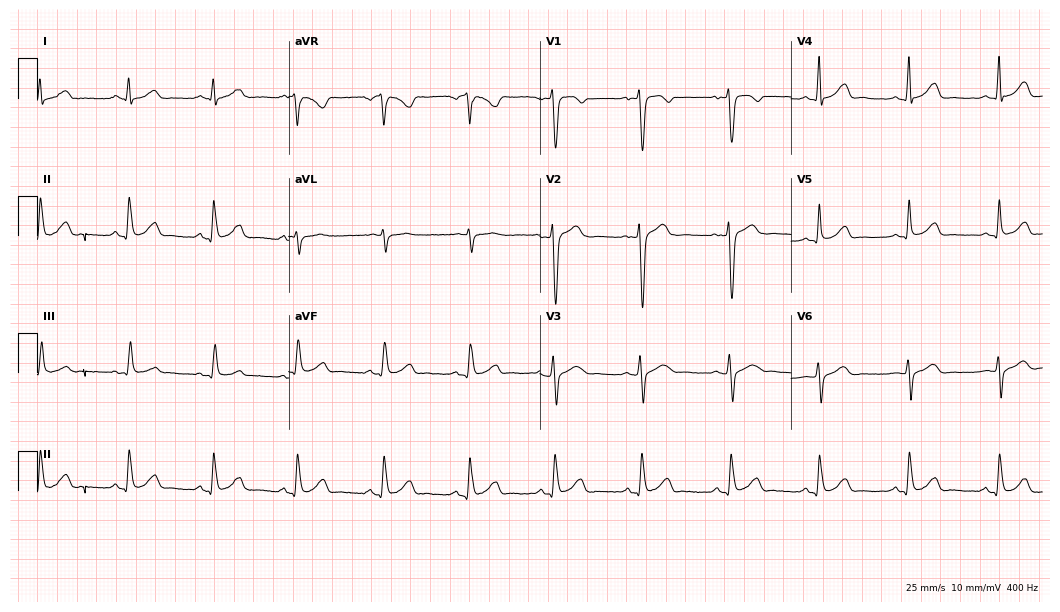
ECG — a 26-year-old male patient. Screened for six findings — first-degree AV block, right bundle branch block, left bundle branch block, sinus bradycardia, atrial fibrillation, sinus tachycardia — none is recorded. Other findings, if any, are not listed.